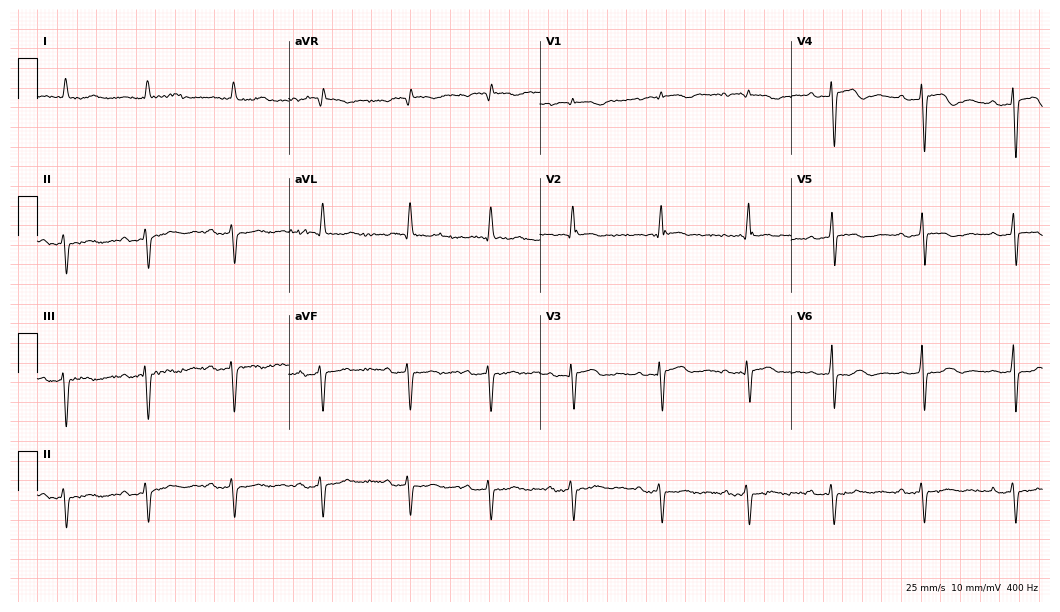
ECG (10.2-second recording at 400 Hz) — an 85-year-old woman. Screened for six findings — first-degree AV block, right bundle branch block (RBBB), left bundle branch block (LBBB), sinus bradycardia, atrial fibrillation (AF), sinus tachycardia — none is recorded.